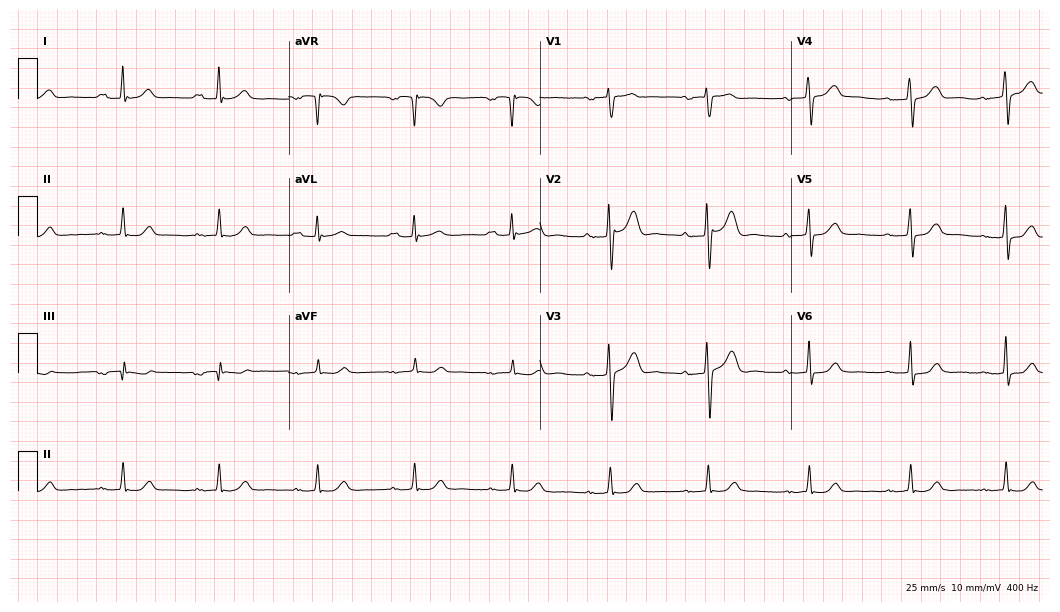
ECG — a 46-year-old male patient. Labelled as a normal ECG.